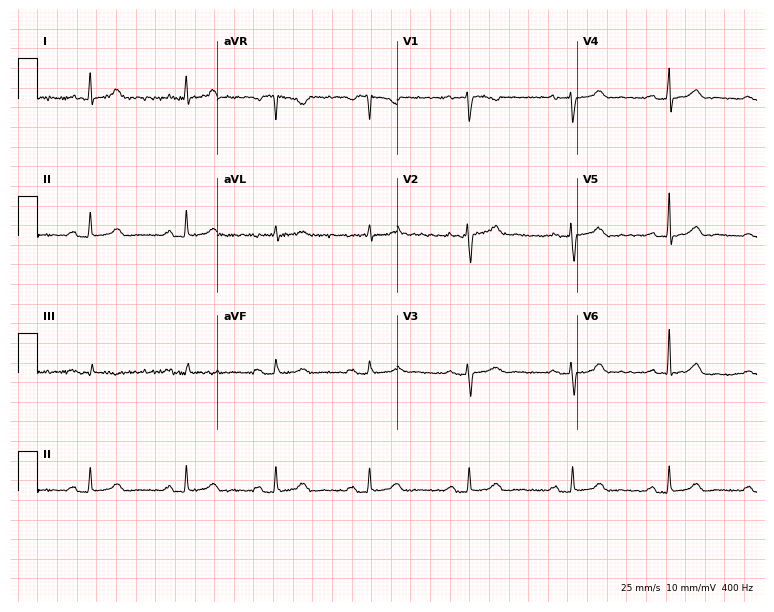
Resting 12-lead electrocardiogram. Patient: a female, 34 years old. Read as a normal ECG.